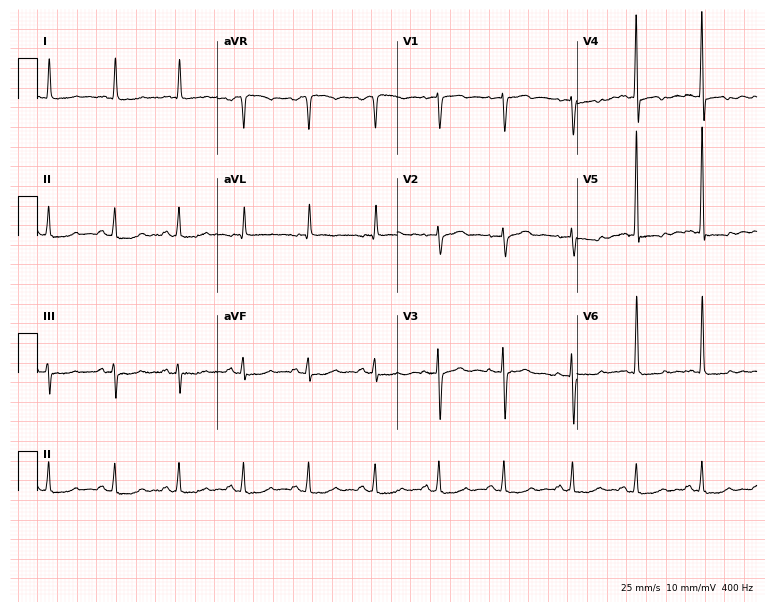
12-lead ECG (7.3-second recording at 400 Hz) from an 81-year-old female. Screened for six findings — first-degree AV block, right bundle branch block, left bundle branch block, sinus bradycardia, atrial fibrillation, sinus tachycardia — none is recorded.